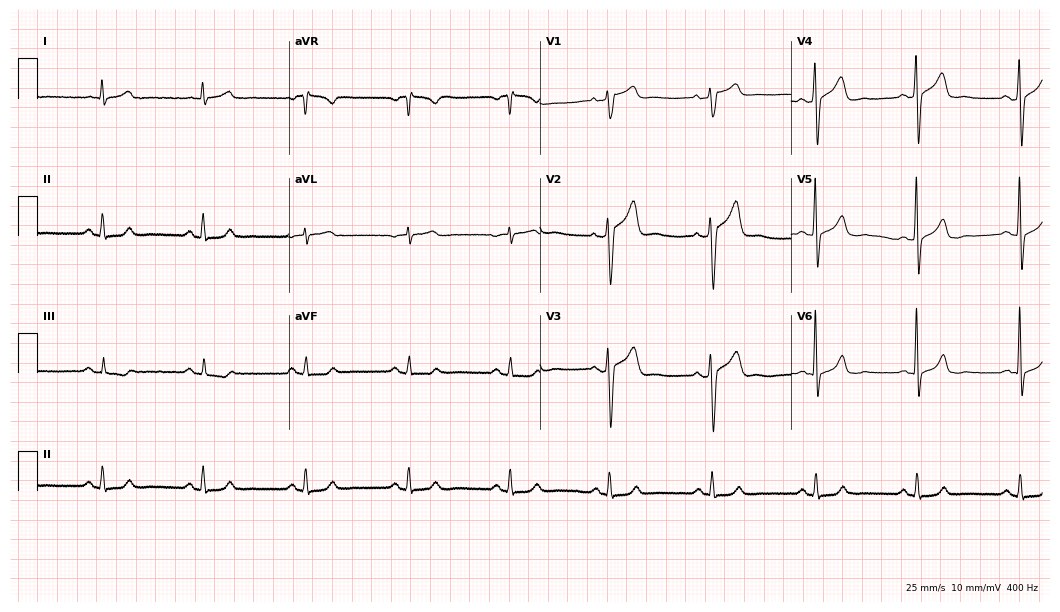
Electrocardiogram, a male, 76 years old. Overall reading on record: normal ECG.